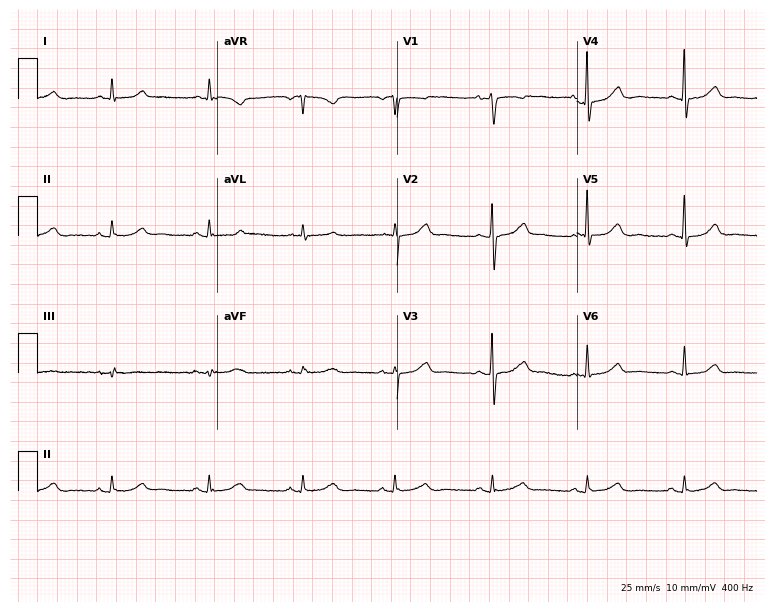
ECG — a woman, 79 years old. Labelled as a normal ECG.